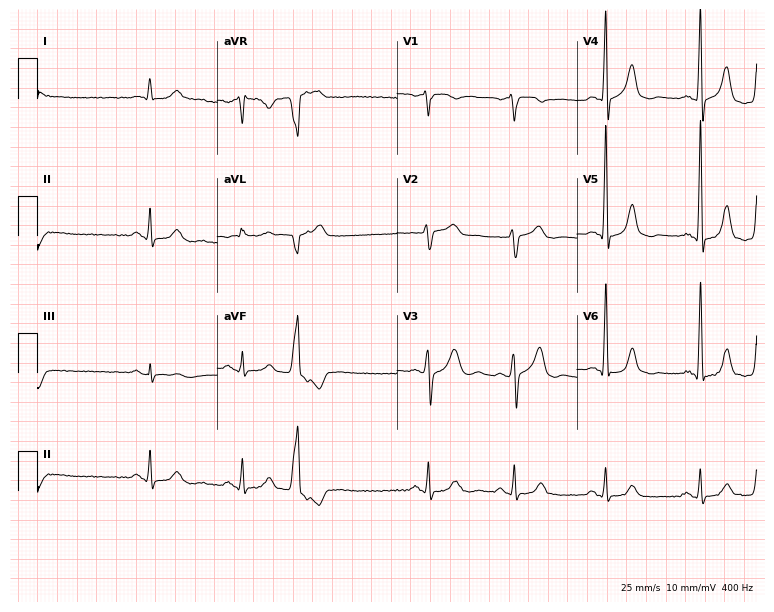
Electrocardiogram (7.3-second recording at 400 Hz), a man, 84 years old. Of the six screened findings (first-degree AV block, right bundle branch block (RBBB), left bundle branch block (LBBB), sinus bradycardia, atrial fibrillation (AF), sinus tachycardia), none is recorded.